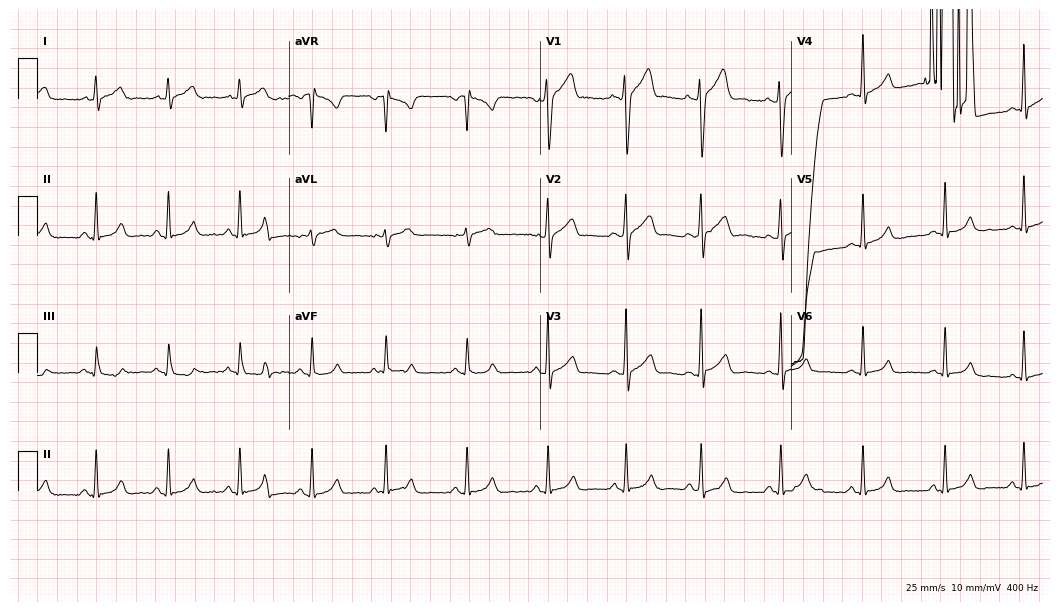
Standard 12-lead ECG recorded from a male, 49 years old. None of these six findings is recorded: first-degree AV block, right bundle branch block (RBBB), left bundle branch block (LBBB), sinus bradycardia, atrial fibrillation (AF), sinus tachycardia.